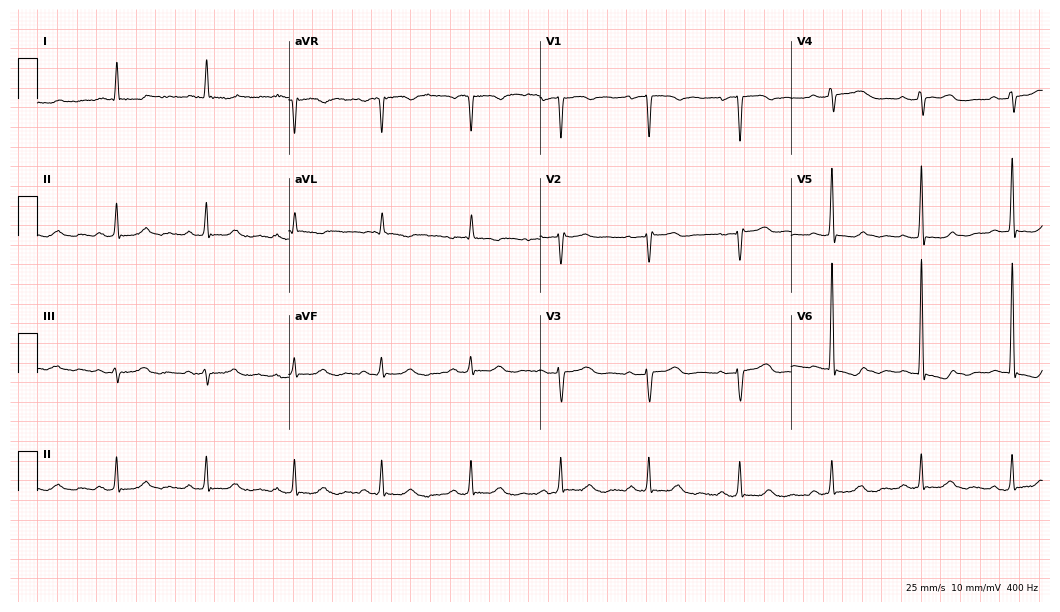
Standard 12-lead ECG recorded from a woman, 79 years old (10.2-second recording at 400 Hz). None of these six findings is recorded: first-degree AV block, right bundle branch block, left bundle branch block, sinus bradycardia, atrial fibrillation, sinus tachycardia. Other findings, if any, are not listed.